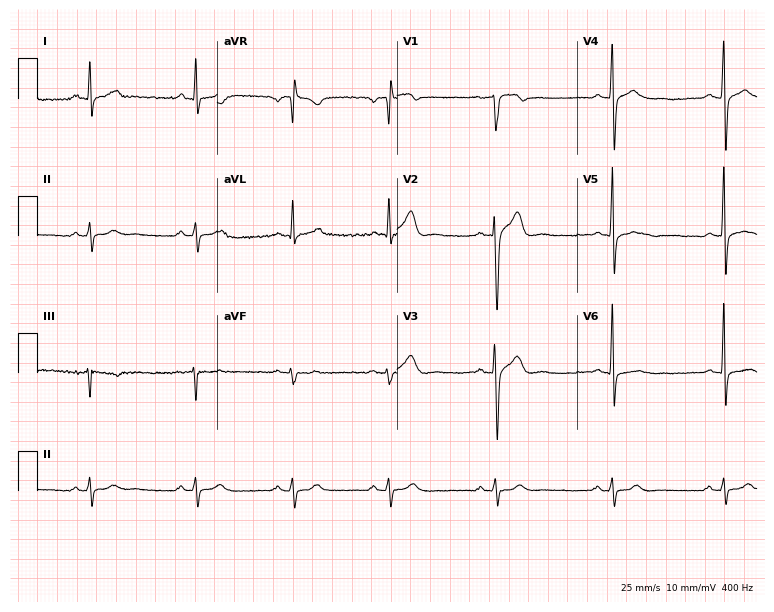
Standard 12-lead ECG recorded from a 38-year-old male. None of these six findings is recorded: first-degree AV block, right bundle branch block, left bundle branch block, sinus bradycardia, atrial fibrillation, sinus tachycardia.